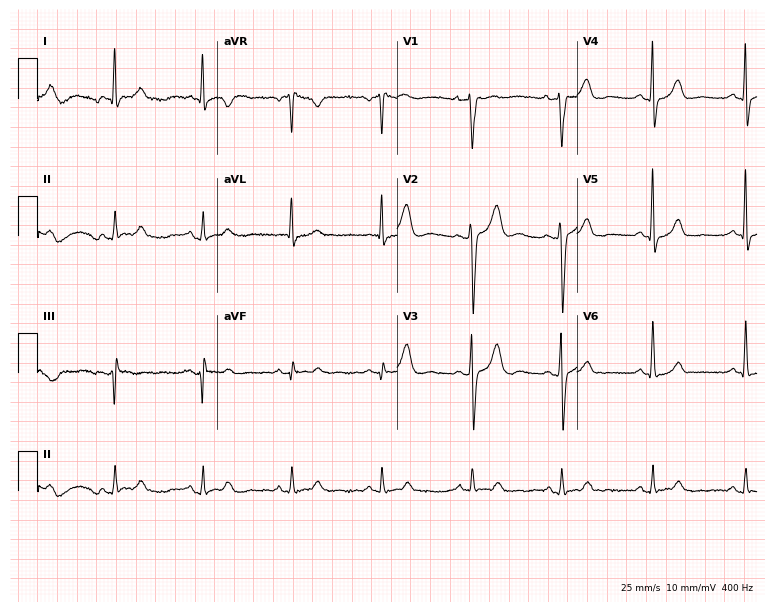
Resting 12-lead electrocardiogram (7.3-second recording at 400 Hz). Patient: a 53-year-old female. None of these six findings is recorded: first-degree AV block, right bundle branch block, left bundle branch block, sinus bradycardia, atrial fibrillation, sinus tachycardia. Other findings, if any, are not listed.